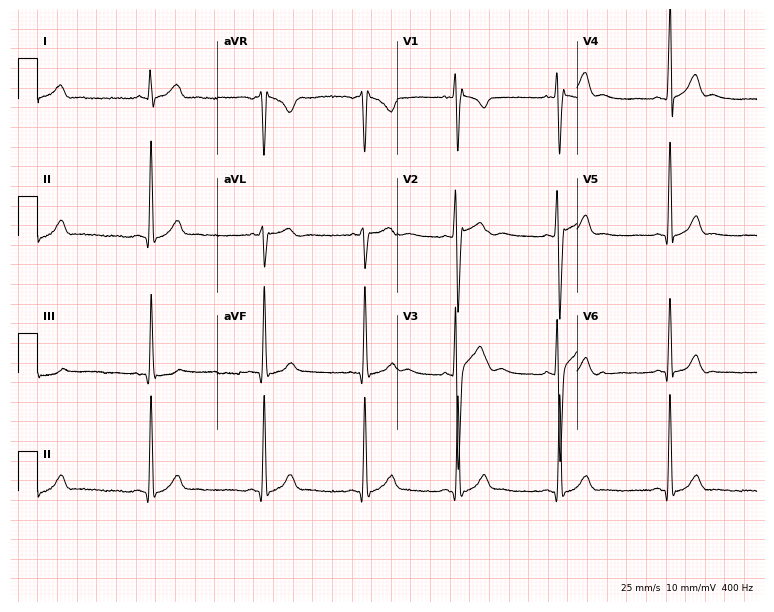
ECG (7.3-second recording at 400 Hz) — a 19-year-old man. Screened for six findings — first-degree AV block, right bundle branch block, left bundle branch block, sinus bradycardia, atrial fibrillation, sinus tachycardia — none is recorded. Findings outside these six are not listed.